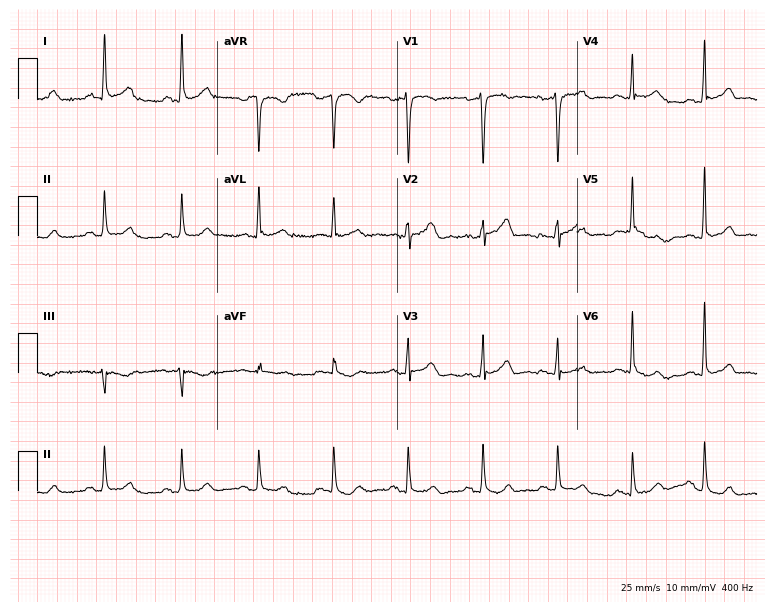
12-lead ECG from a male patient, 60 years old. Screened for six findings — first-degree AV block, right bundle branch block, left bundle branch block, sinus bradycardia, atrial fibrillation, sinus tachycardia — none is recorded. Only these six findings were labelled.